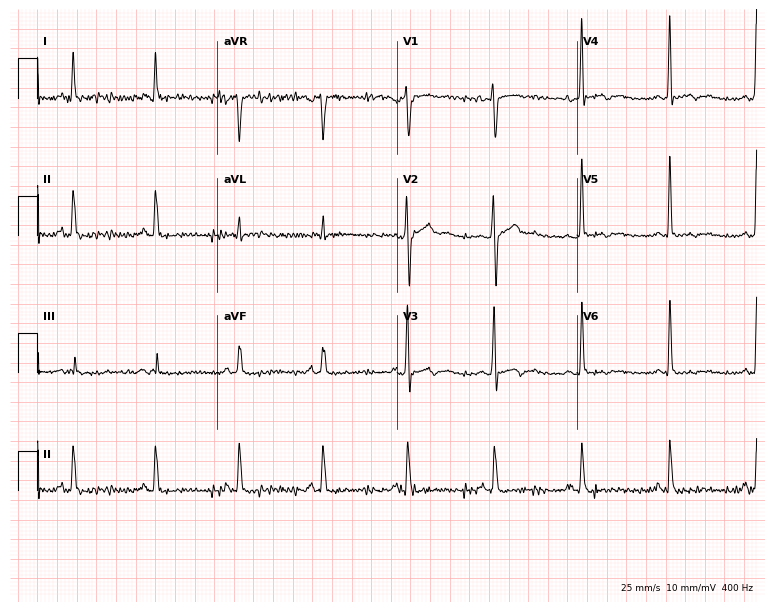
Standard 12-lead ECG recorded from a man, 48 years old. None of these six findings is recorded: first-degree AV block, right bundle branch block (RBBB), left bundle branch block (LBBB), sinus bradycardia, atrial fibrillation (AF), sinus tachycardia.